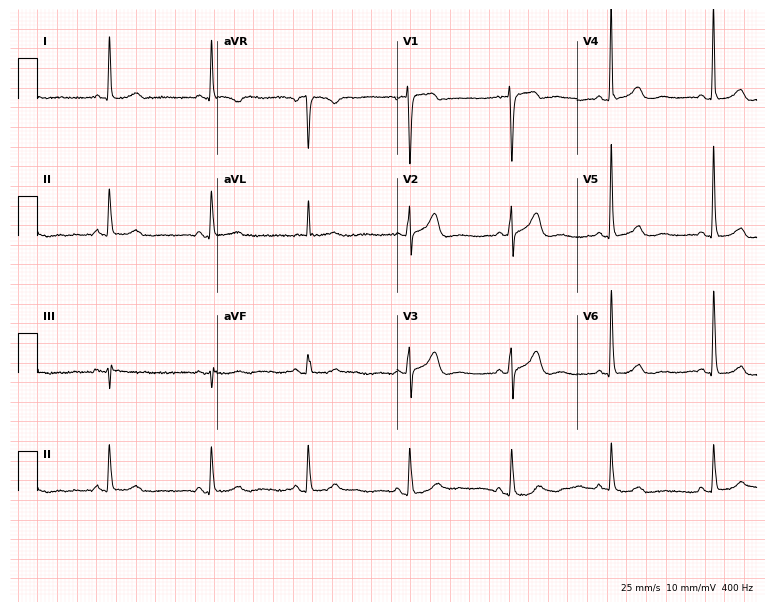
Standard 12-lead ECG recorded from a female patient, 62 years old (7.3-second recording at 400 Hz). Read as a normal ECG.